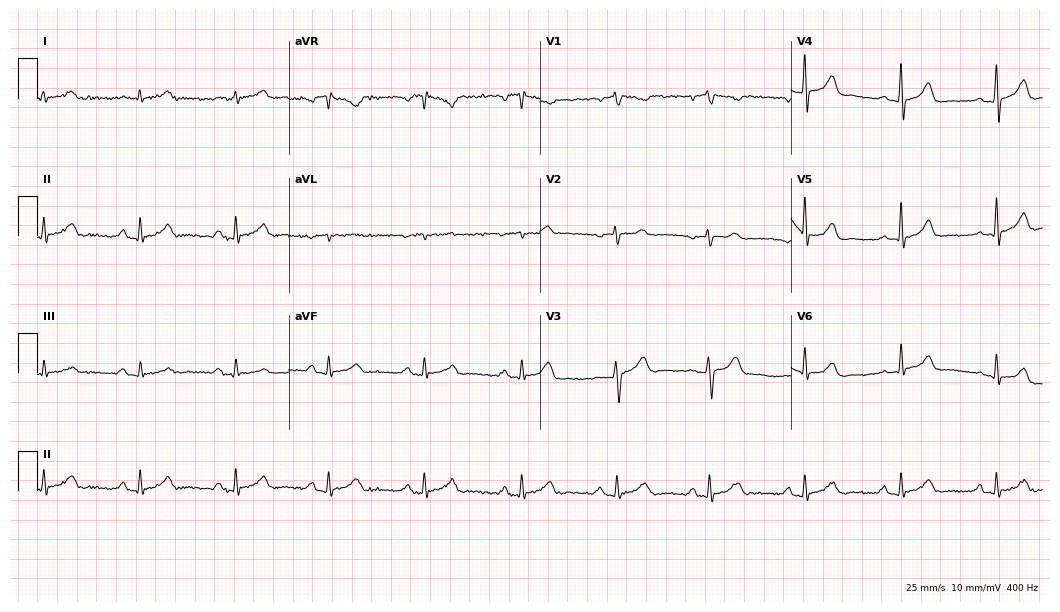
12-lead ECG from a 32-year-old man. Labelled as a normal ECG.